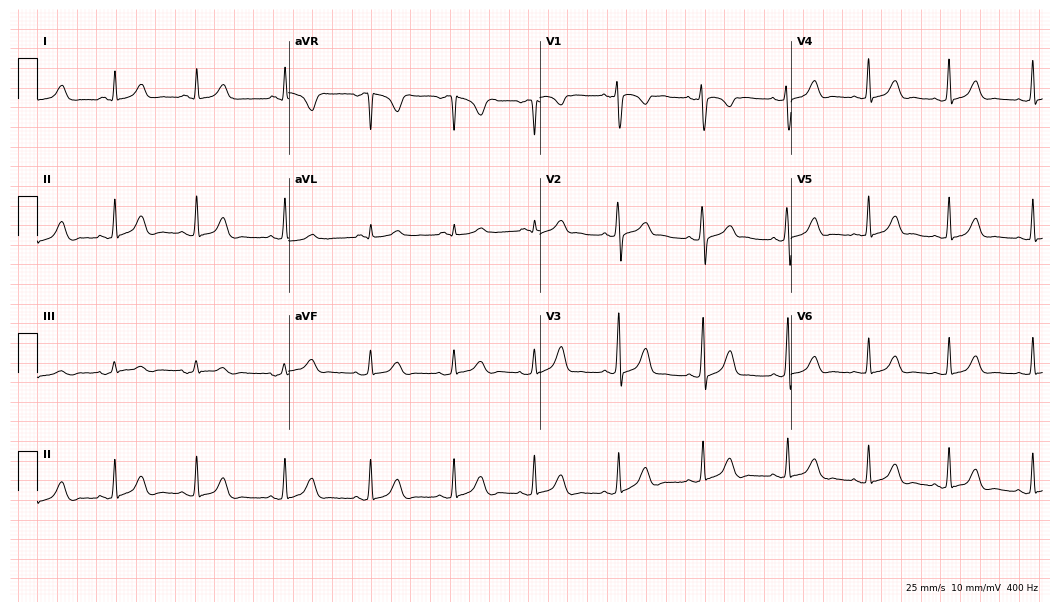
Resting 12-lead electrocardiogram (10.2-second recording at 400 Hz). Patient: a female, 28 years old. Read as a normal ECG.